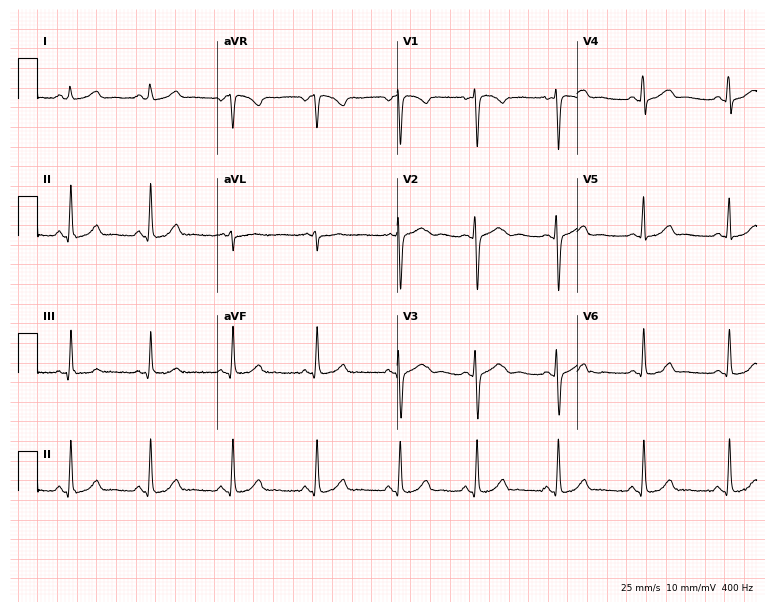
Standard 12-lead ECG recorded from an 18-year-old female patient (7.3-second recording at 400 Hz). None of these six findings is recorded: first-degree AV block, right bundle branch block, left bundle branch block, sinus bradycardia, atrial fibrillation, sinus tachycardia. Only these six findings were labelled.